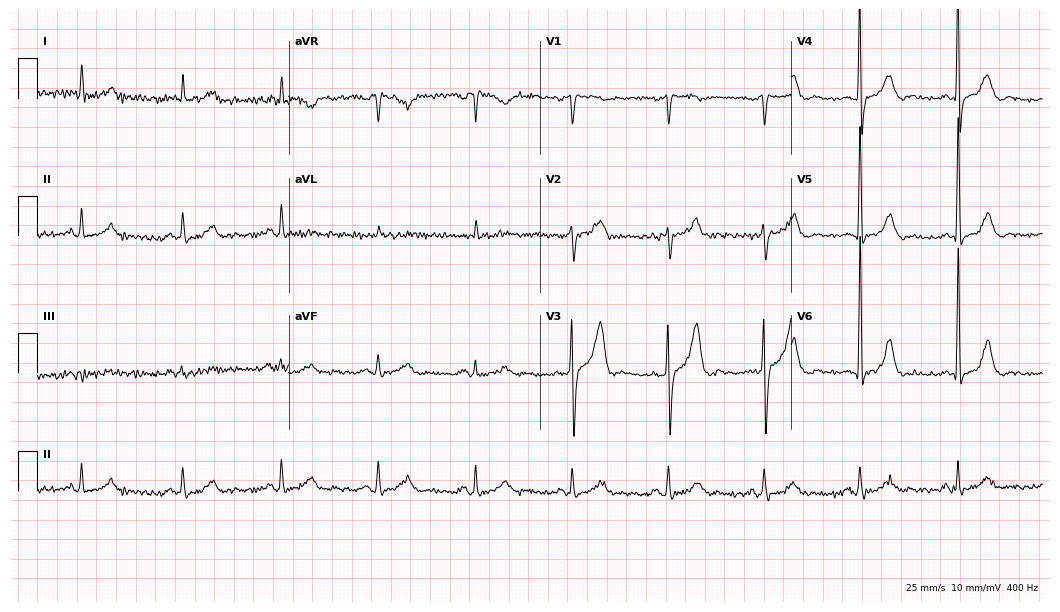
Resting 12-lead electrocardiogram (10.2-second recording at 400 Hz). Patient: a man, 74 years old. None of these six findings is recorded: first-degree AV block, right bundle branch block, left bundle branch block, sinus bradycardia, atrial fibrillation, sinus tachycardia. Only these six findings were labelled.